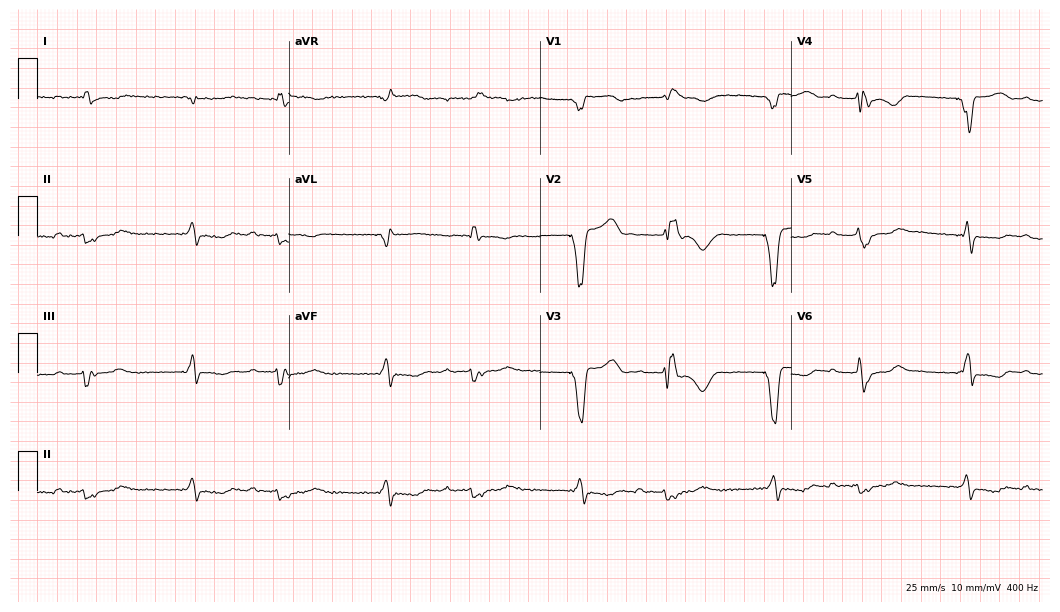
Standard 12-lead ECG recorded from a 72-year-old male. None of these six findings is recorded: first-degree AV block, right bundle branch block (RBBB), left bundle branch block (LBBB), sinus bradycardia, atrial fibrillation (AF), sinus tachycardia.